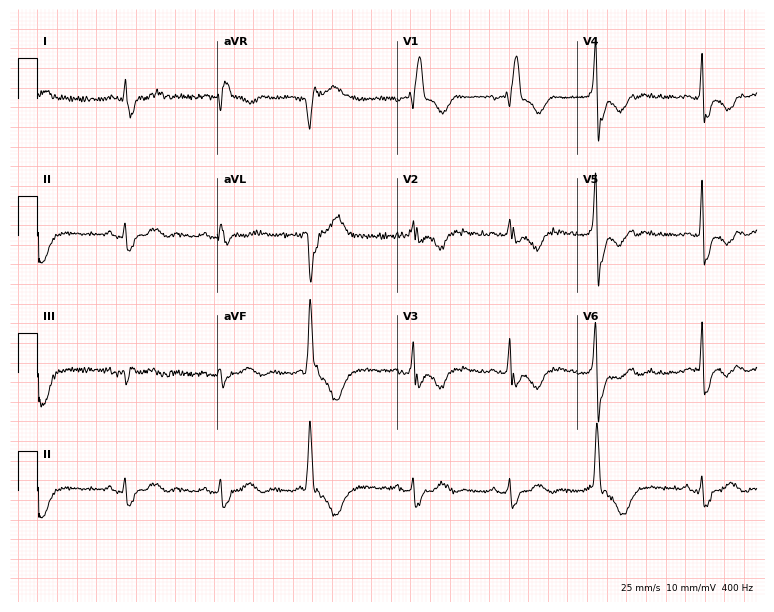
Resting 12-lead electrocardiogram (7.3-second recording at 400 Hz). Patient: a 64-year-old female. The tracing shows right bundle branch block.